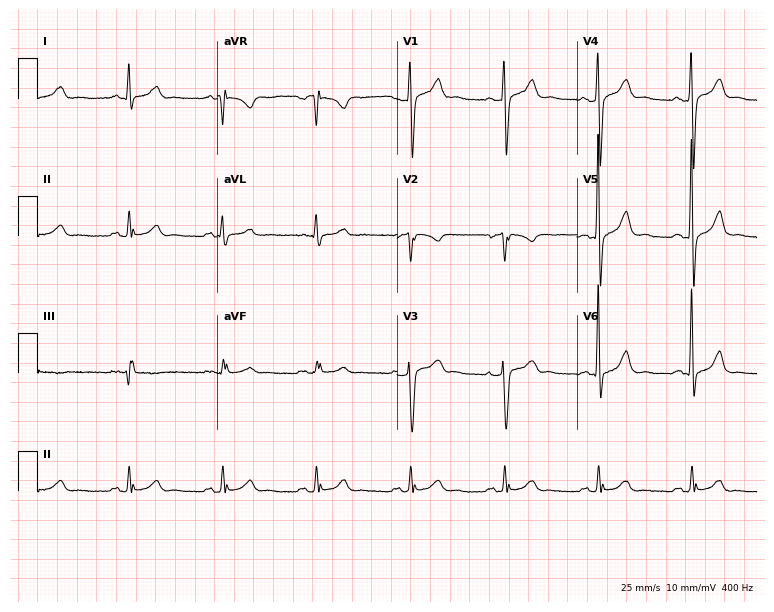
12-lead ECG from a man, 54 years old. Recorded interpretation: within normal limits.